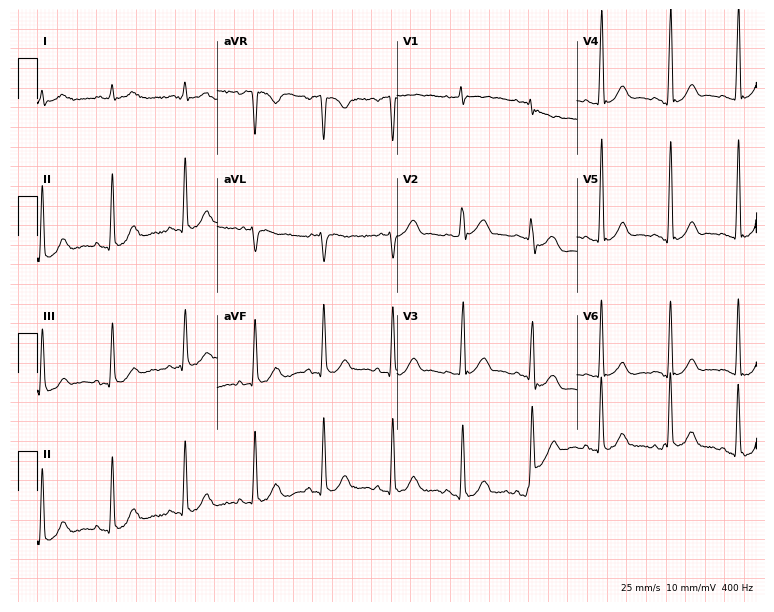
12-lead ECG from a 53-year-old male. Screened for six findings — first-degree AV block, right bundle branch block, left bundle branch block, sinus bradycardia, atrial fibrillation, sinus tachycardia — none is recorded. Only these six findings were labelled.